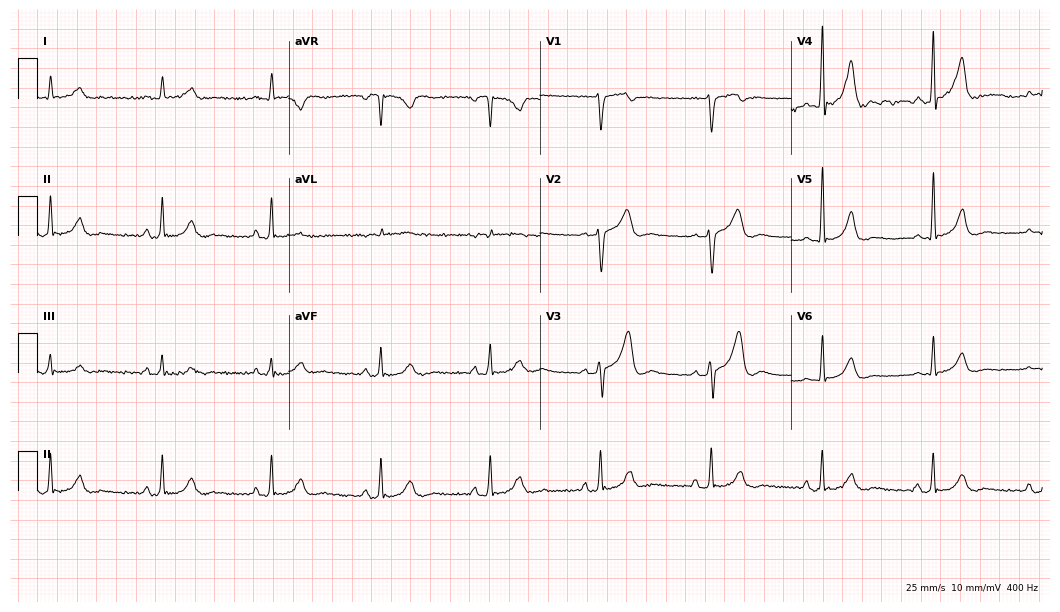
12-lead ECG from a man, 50 years old. Labelled as a normal ECG.